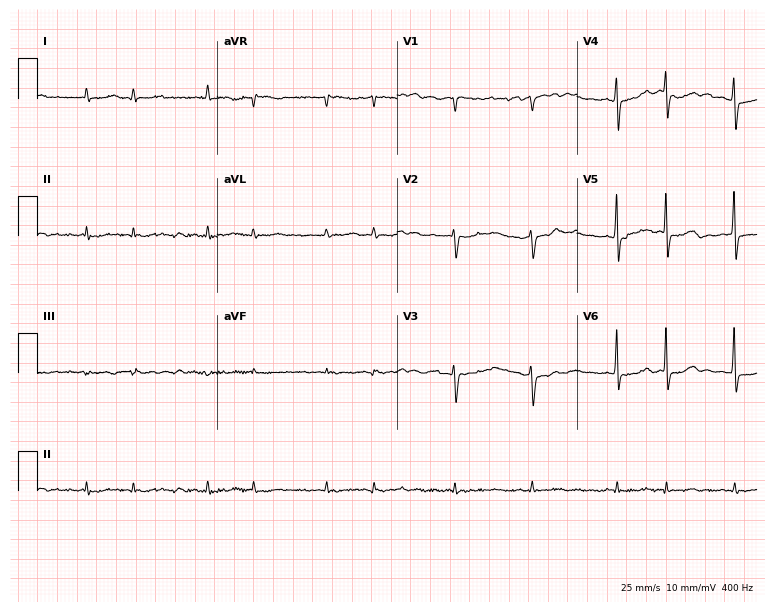
Resting 12-lead electrocardiogram. Patient: a man, 84 years old. The tracing shows atrial fibrillation.